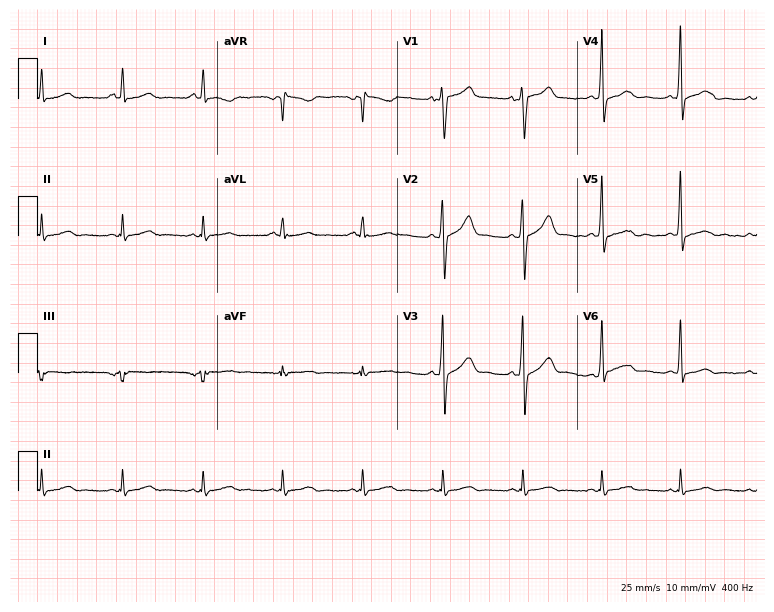
12-lead ECG from a 60-year-old male. Recorded interpretation: within normal limits.